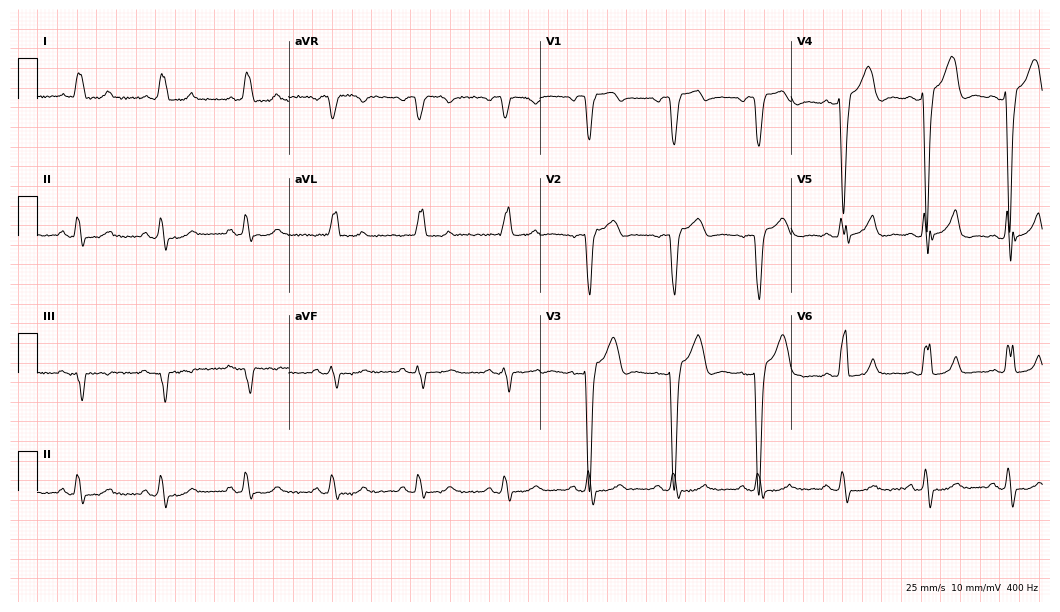
Electrocardiogram, a 77-year-old female. Of the six screened findings (first-degree AV block, right bundle branch block (RBBB), left bundle branch block (LBBB), sinus bradycardia, atrial fibrillation (AF), sinus tachycardia), none is recorded. Only these six findings were labelled.